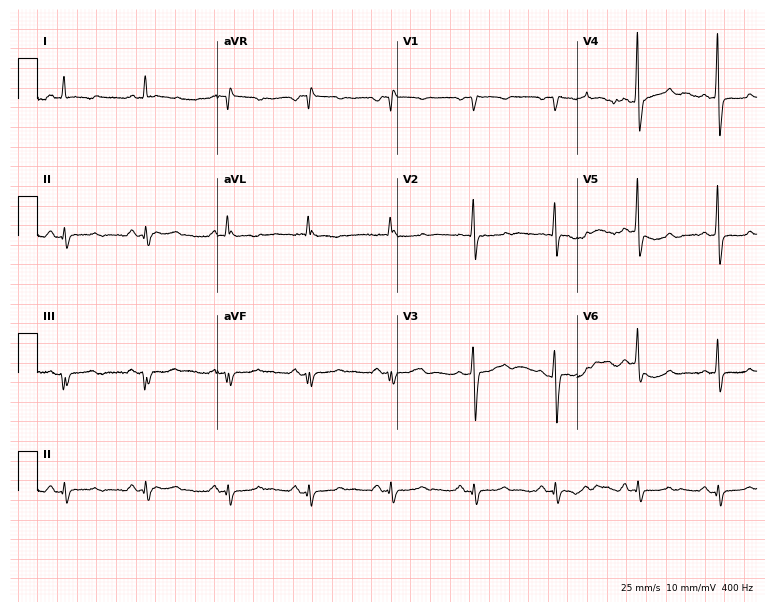
Electrocardiogram, a 70-year-old woman. Of the six screened findings (first-degree AV block, right bundle branch block, left bundle branch block, sinus bradycardia, atrial fibrillation, sinus tachycardia), none is recorded. Findings outside these six are not listed.